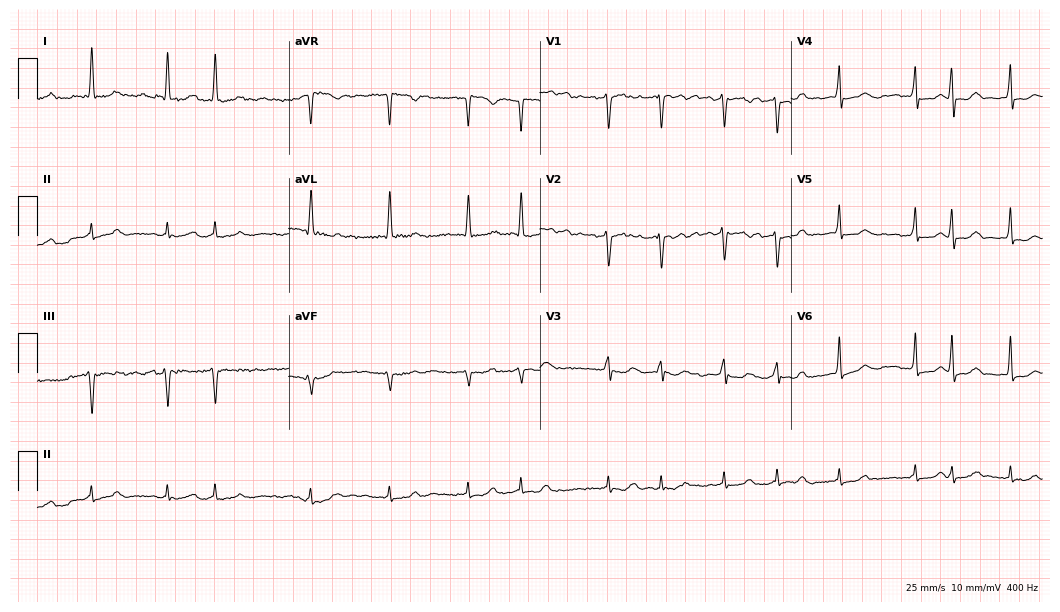
Standard 12-lead ECG recorded from a 74-year-old woman (10.2-second recording at 400 Hz). The tracing shows atrial fibrillation (AF).